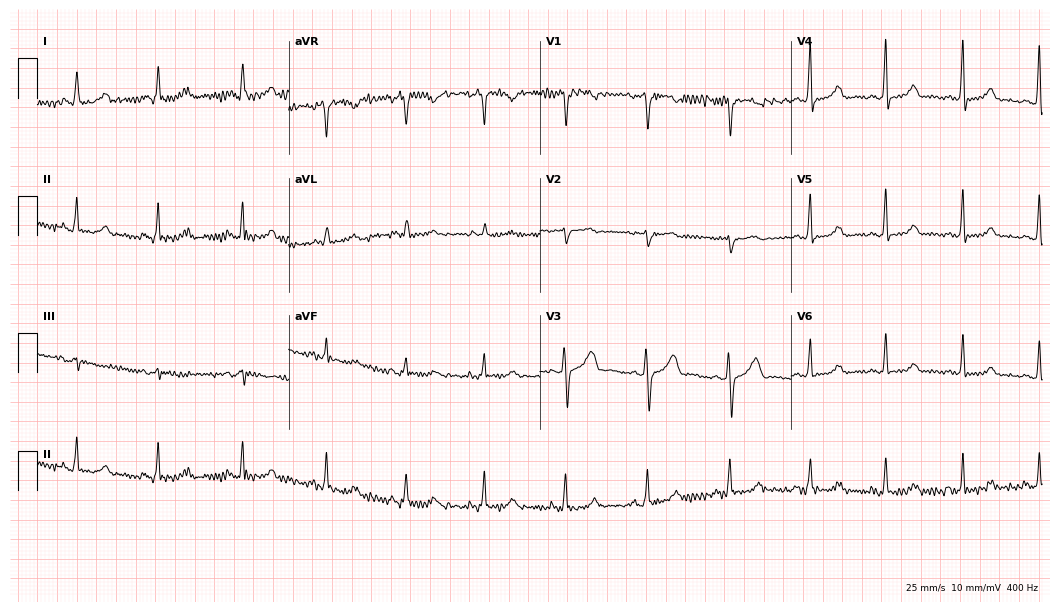
Standard 12-lead ECG recorded from a woman, 40 years old. None of these six findings is recorded: first-degree AV block, right bundle branch block, left bundle branch block, sinus bradycardia, atrial fibrillation, sinus tachycardia. Only these six findings were labelled.